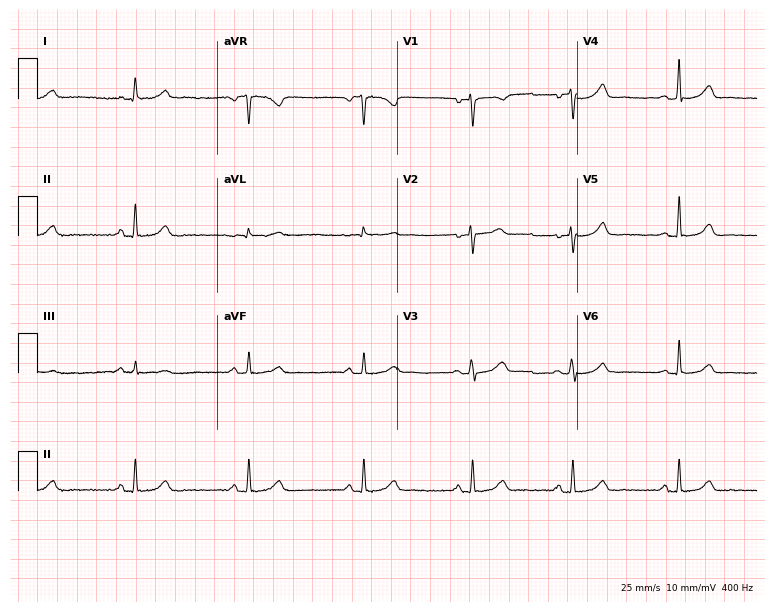
ECG (7.3-second recording at 400 Hz) — a woman, 50 years old. Labelled as a normal ECG.